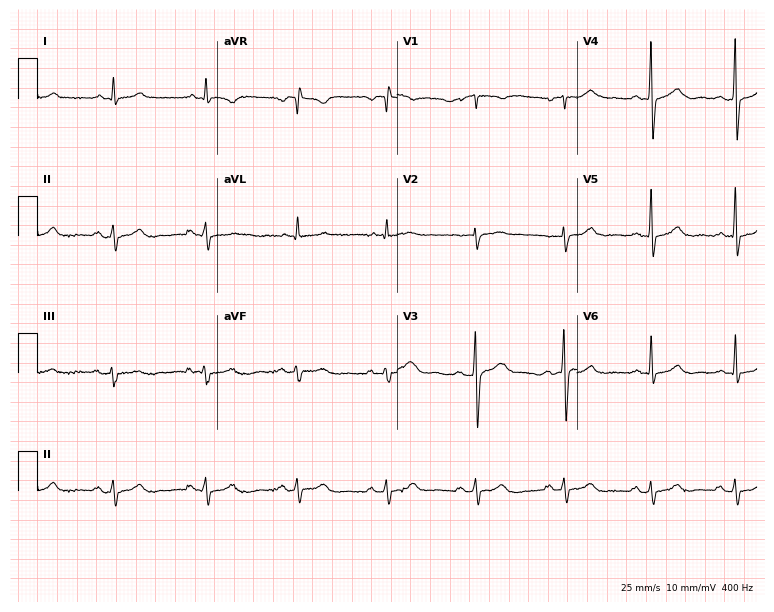
Standard 12-lead ECG recorded from a 45-year-old male patient. Read as a normal ECG.